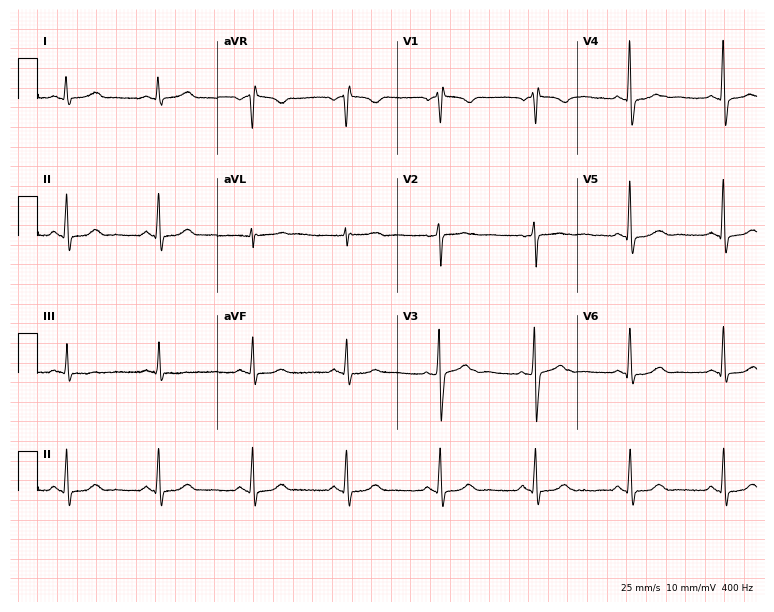
12-lead ECG from a 65-year-old female. Screened for six findings — first-degree AV block, right bundle branch block (RBBB), left bundle branch block (LBBB), sinus bradycardia, atrial fibrillation (AF), sinus tachycardia — none is recorded.